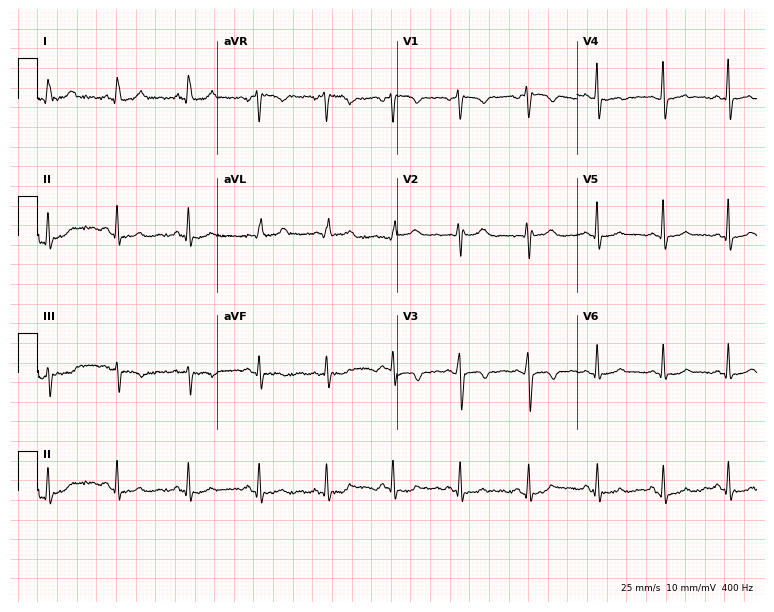
Resting 12-lead electrocardiogram (7.3-second recording at 400 Hz). Patient: a 33-year-old woman. None of these six findings is recorded: first-degree AV block, right bundle branch block, left bundle branch block, sinus bradycardia, atrial fibrillation, sinus tachycardia. Other findings, if any, are not listed.